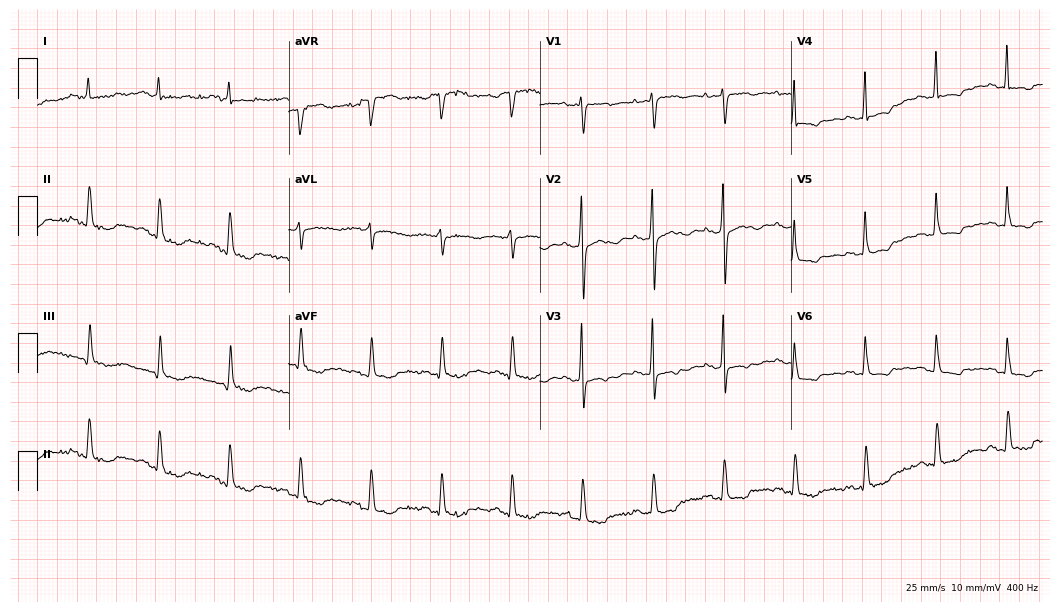
12-lead ECG (10.2-second recording at 400 Hz) from a female, 71 years old. Screened for six findings — first-degree AV block, right bundle branch block, left bundle branch block, sinus bradycardia, atrial fibrillation, sinus tachycardia — none is recorded. Findings outside these six are not listed.